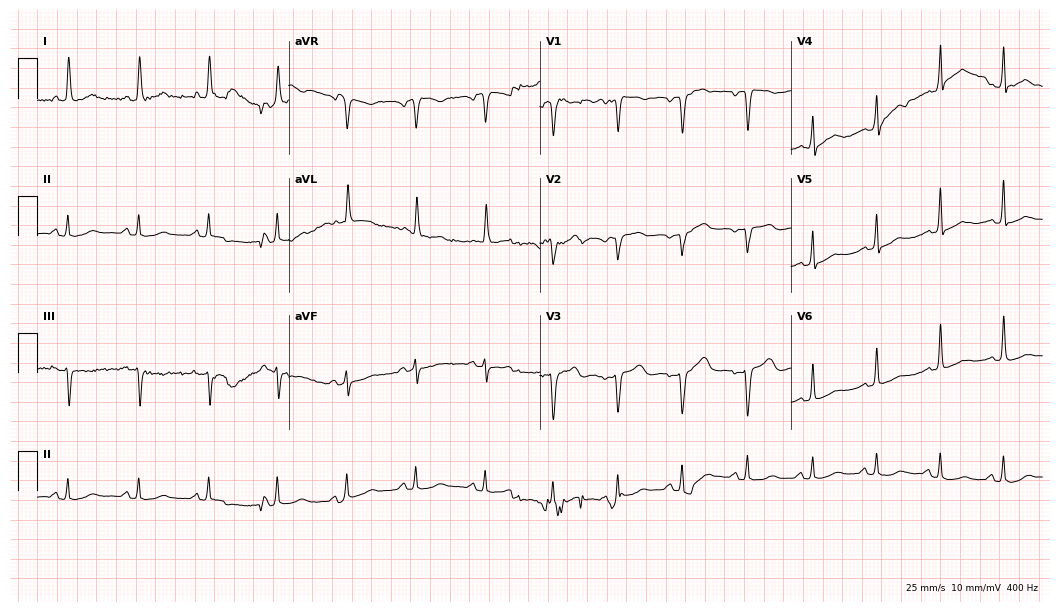
Electrocardiogram (10.2-second recording at 400 Hz), a female, 52 years old. Overall reading on record: normal ECG.